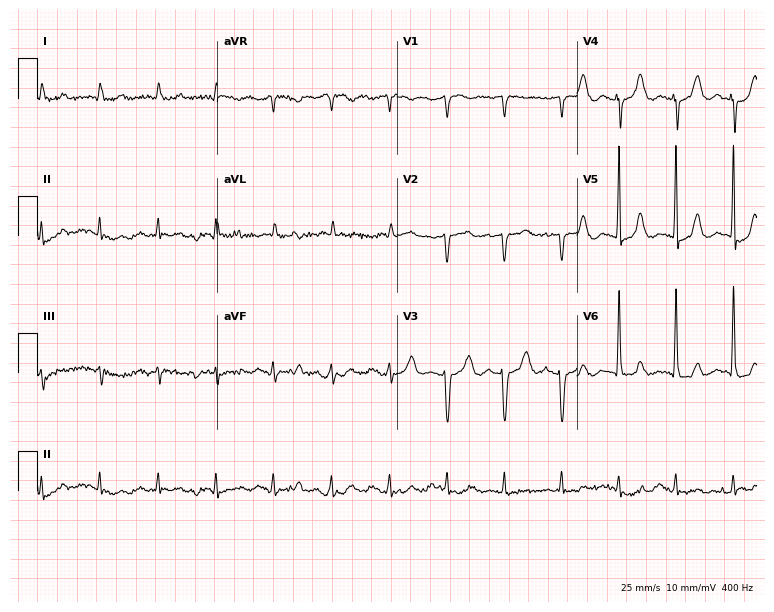
ECG (7.3-second recording at 400 Hz) — a 71-year-old female. Labelled as a normal ECG.